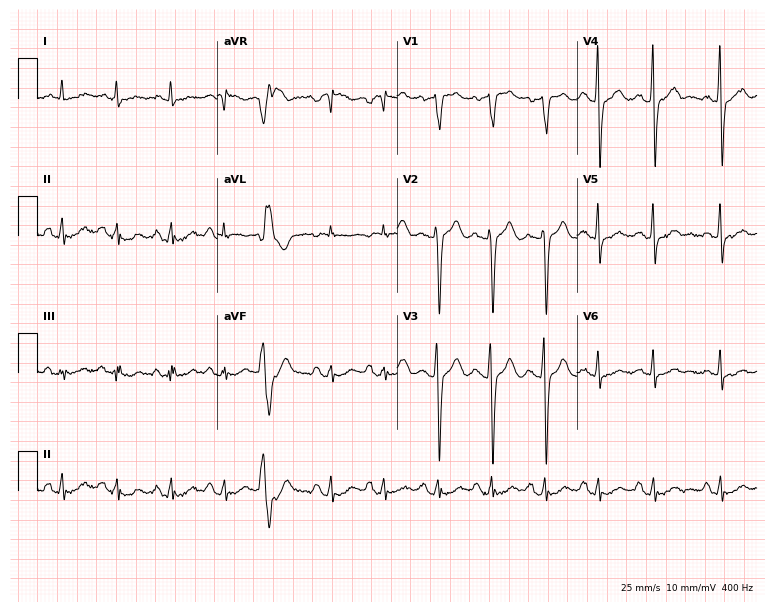
Standard 12-lead ECG recorded from a 71-year-old male. None of these six findings is recorded: first-degree AV block, right bundle branch block, left bundle branch block, sinus bradycardia, atrial fibrillation, sinus tachycardia. Other findings, if any, are not listed.